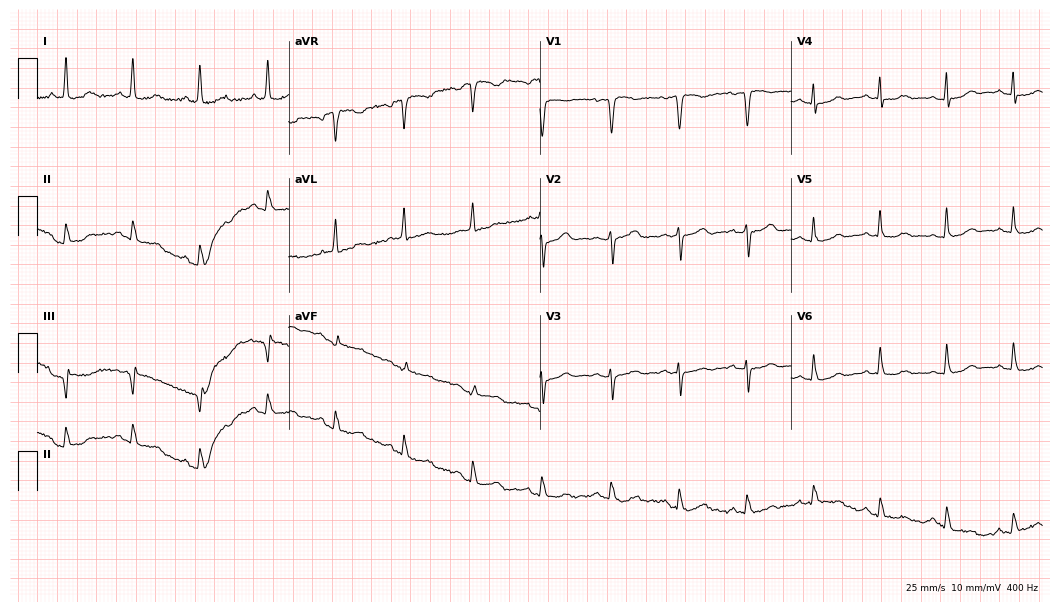
Standard 12-lead ECG recorded from a 58-year-old female patient (10.2-second recording at 400 Hz). None of these six findings is recorded: first-degree AV block, right bundle branch block, left bundle branch block, sinus bradycardia, atrial fibrillation, sinus tachycardia. Findings outside these six are not listed.